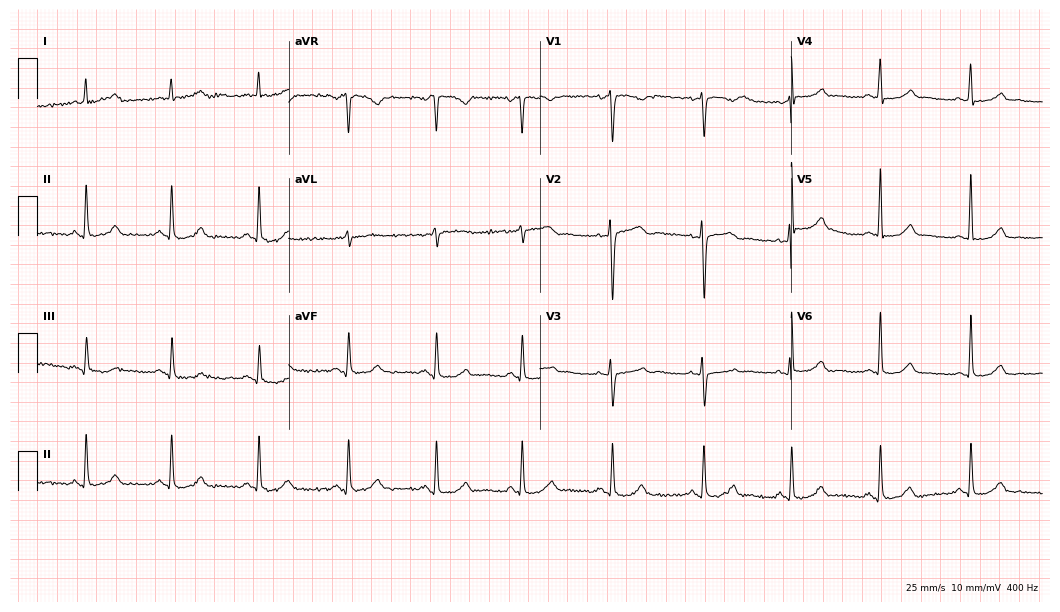
ECG (10.2-second recording at 400 Hz) — a female patient, 43 years old. Screened for six findings — first-degree AV block, right bundle branch block (RBBB), left bundle branch block (LBBB), sinus bradycardia, atrial fibrillation (AF), sinus tachycardia — none is recorded.